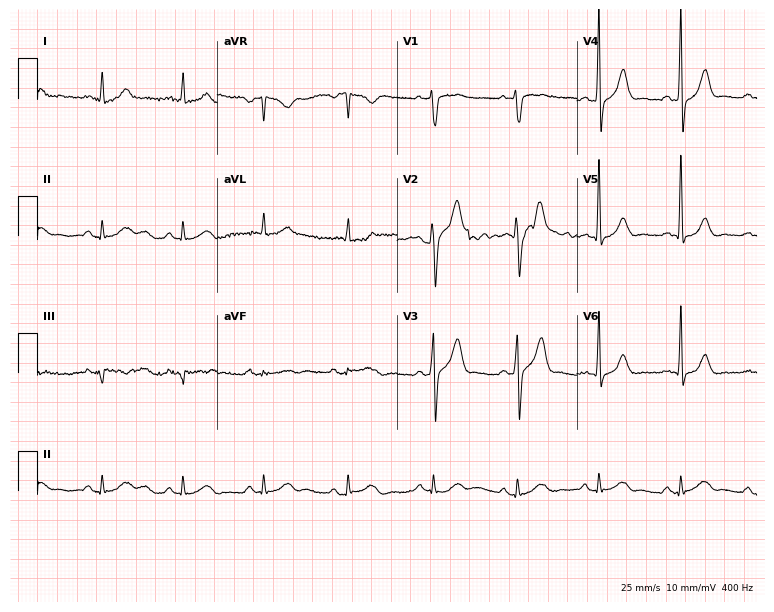
12-lead ECG (7.3-second recording at 400 Hz) from a male patient, 46 years old. Screened for six findings — first-degree AV block, right bundle branch block, left bundle branch block, sinus bradycardia, atrial fibrillation, sinus tachycardia — none is recorded.